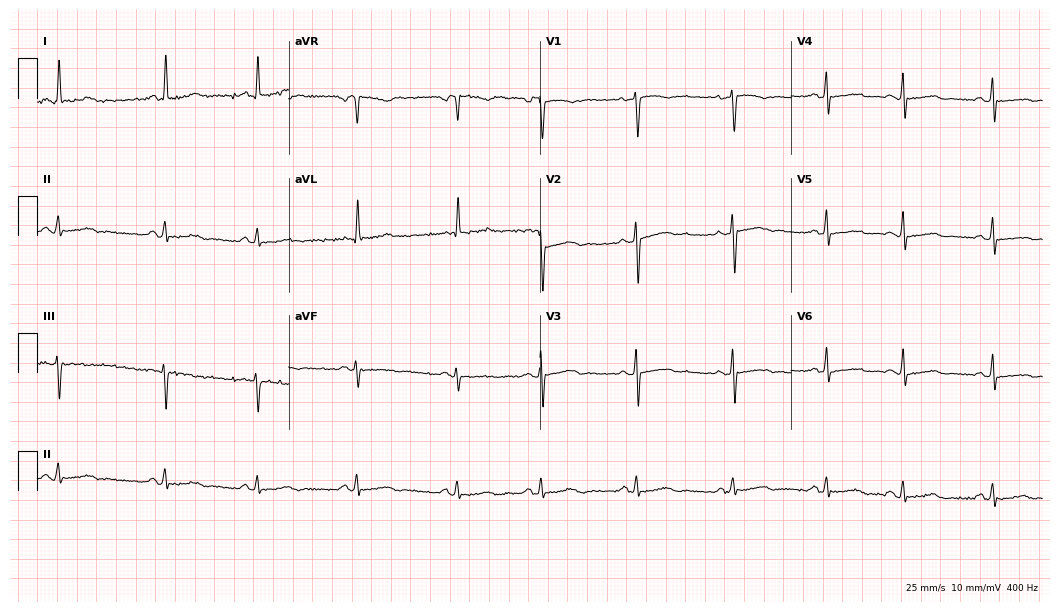
ECG — a female patient, 49 years old. Screened for six findings — first-degree AV block, right bundle branch block, left bundle branch block, sinus bradycardia, atrial fibrillation, sinus tachycardia — none is recorded. Other findings, if any, are not listed.